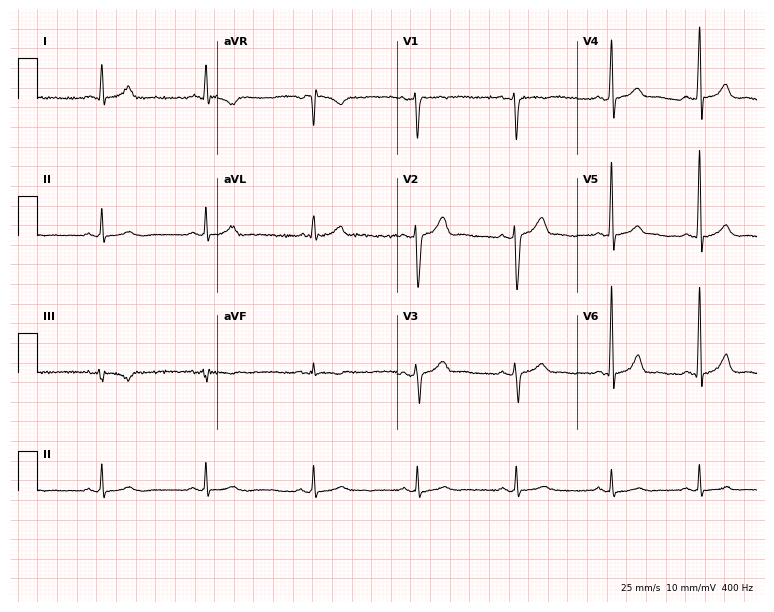
12-lead ECG from a male patient, 43 years old. Screened for six findings — first-degree AV block, right bundle branch block (RBBB), left bundle branch block (LBBB), sinus bradycardia, atrial fibrillation (AF), sinus tachycardia — none is recorded. Only these six findings were labelled.